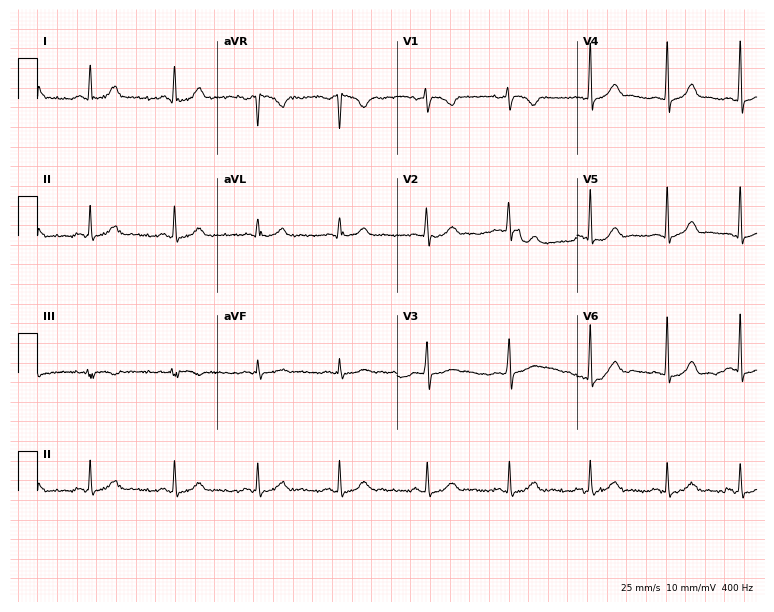
Electrocardiogram, a female, 24 years old. Overall reading on record: normal ECG.